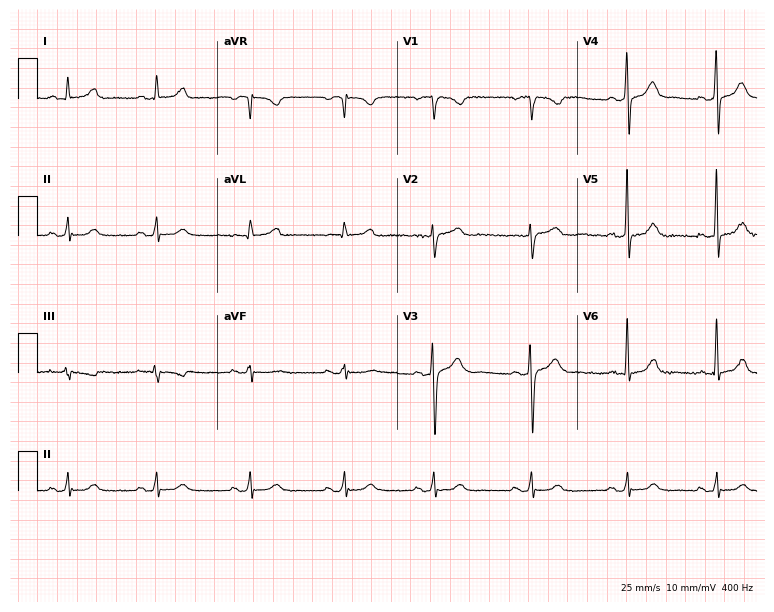
ECG — a female patient, 46 years old. Labelled as a normal ECG.